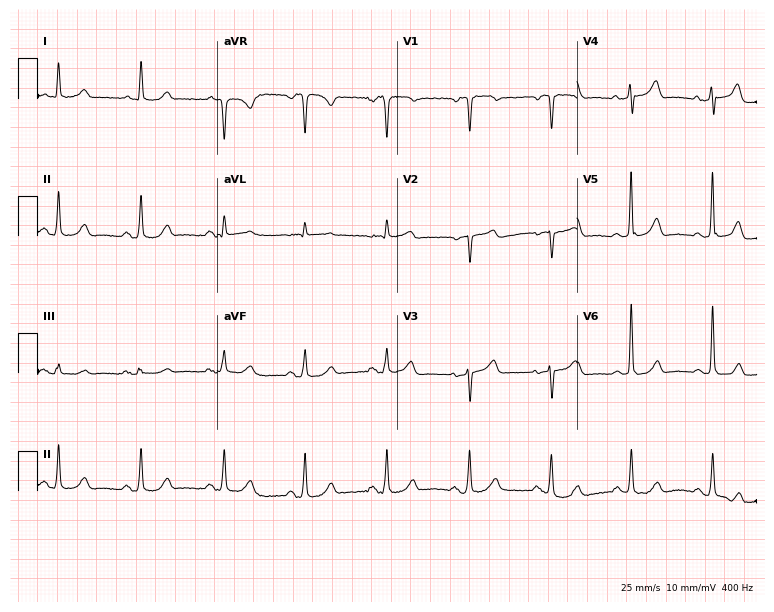
12-lead ECG from a 60-year-old female patient (7.3-second recording at 400 Hz). No first-degree AV block, right bundle branch block, left bundle branch block, sinus bradycardia, atrial fibrillation or sinus tachycardia recorded for this tracing. Only these six findings were labelled.